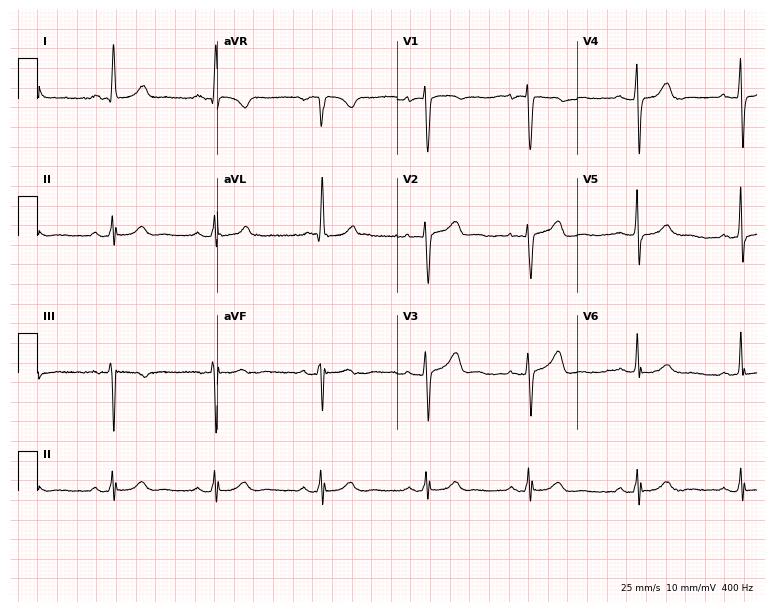
Electrocardiogram, a 58-year-old female patient. Overall reading on record: normal ECG.